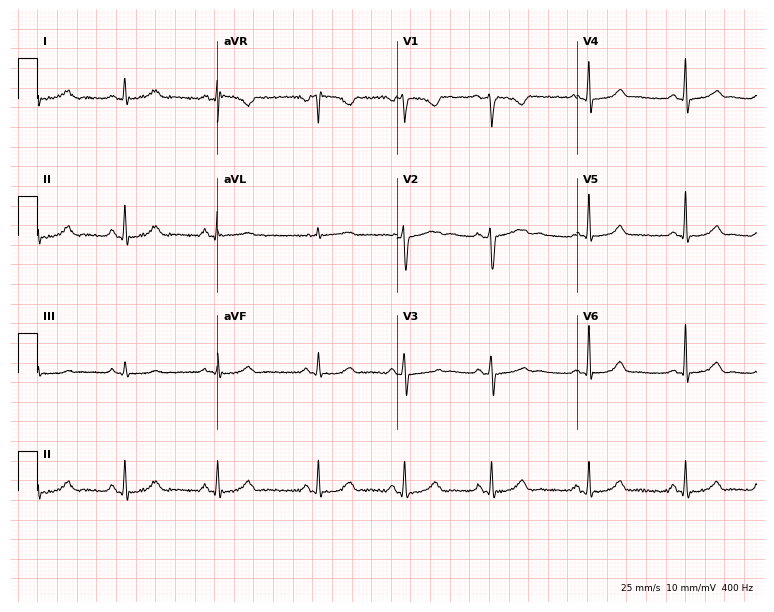
Standard 12-lead ECG recorded from a 44-year-old female patient. Read as a normal ECG.